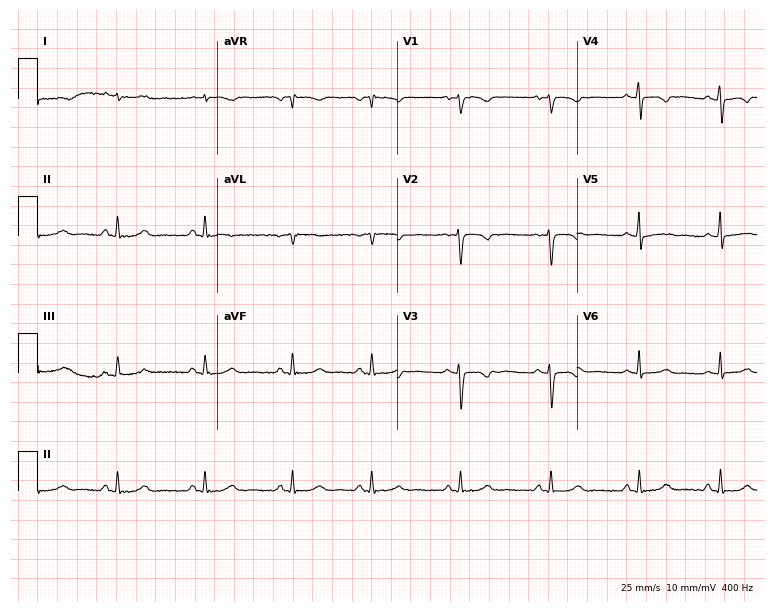
Electrocardiogram (7.3-second recording at 400 Hz), a woman, 25 years old. Of the six screened findings (first-degree AV block, right bundle branch block, left bundle branch block, sinus bradycardia, atrial fibrillation, sinus tachycardia), none is recorded.